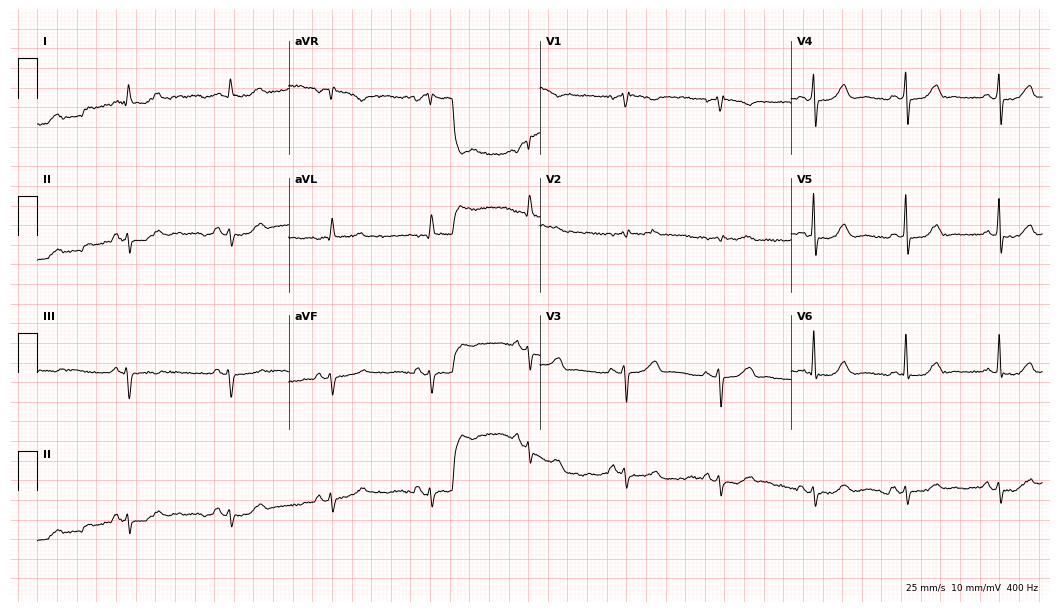
12-lead ECG from a female, 71 years old (10.2-second recording at 400 Hz). No first-degree AV block, right bundle branch block (RBBB), left bundle branch block (LBBB), sinus bradycardia, atrial fibrillation (AF) or sinus tachycardia recorded for this tracing. Findings outside these six are not listed.